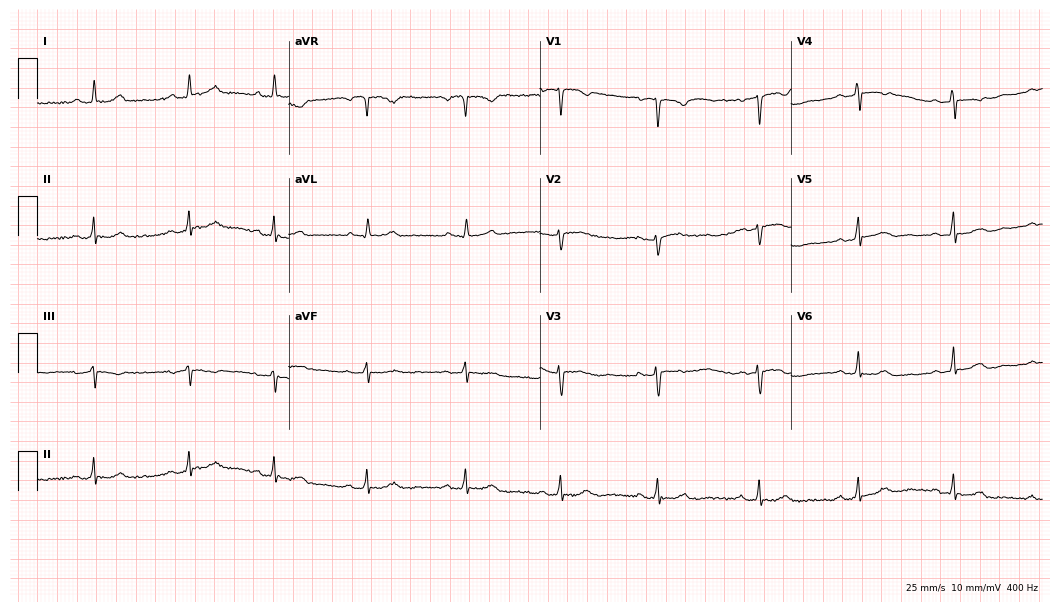
Electrocardiogram, a female, 53 years old. Interpretation includes first-degree AV block.